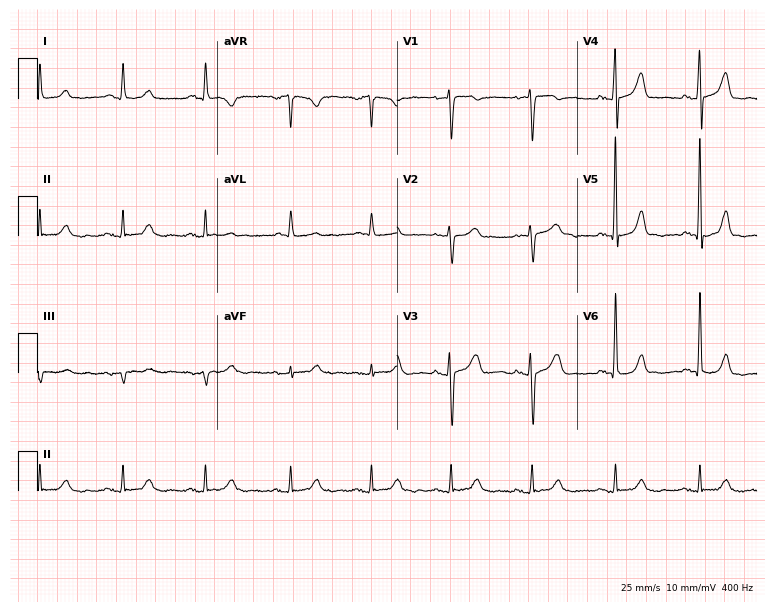
ECG — a female patient, 70 years old. Labelled as a normal ECG.